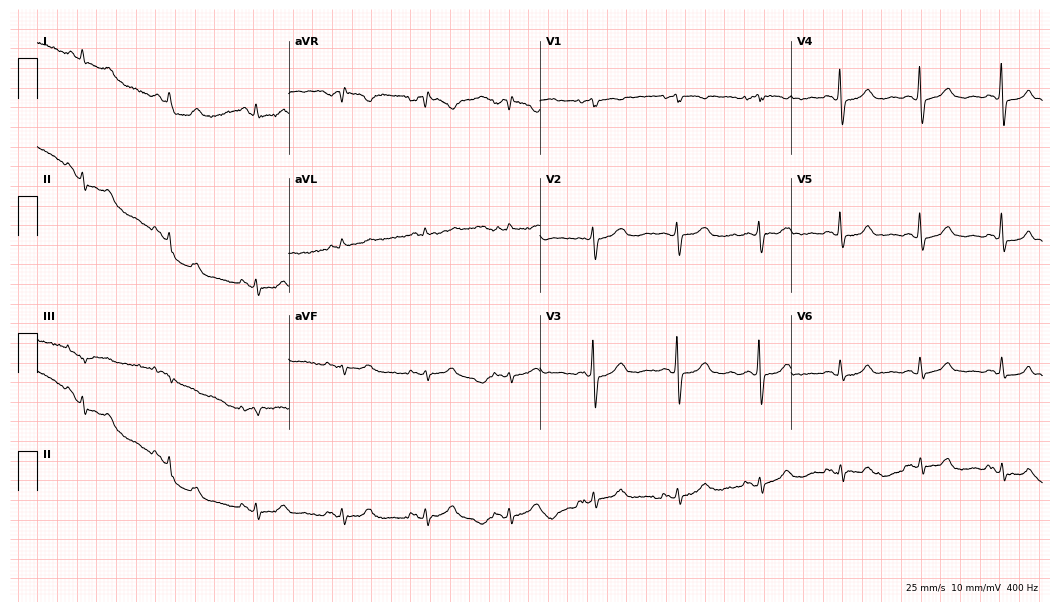
ECG (10.2-second recording at 400 Hz) — an 80-year-old woman. Labelled as a normal ECG.